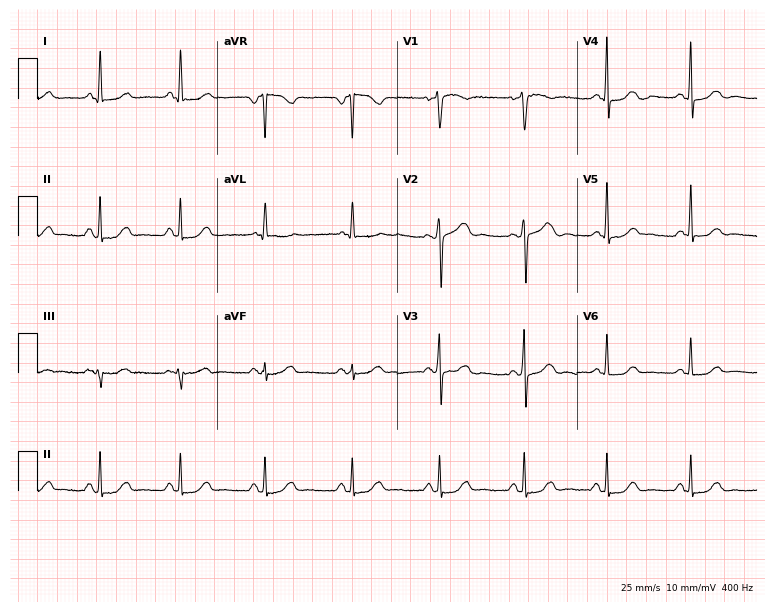
Electrocardiogram (7.3-second recording at 400 Hz), a 58-year-old woman. Of the six screened findings (first-degree AV block, right bundle branch block (RBBB), left bundle branch block (LBBB), sinus bradycardia, atrial fibrillation (AF), sinus tachycardia), none is recorded. Findings outside these six are not listed.